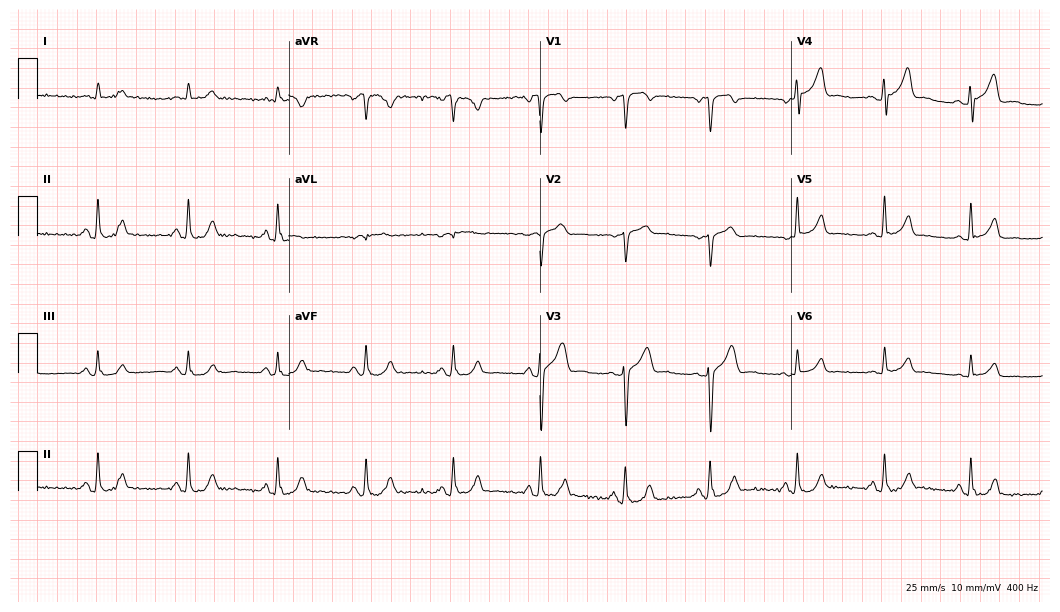
12-lead ECG from a 53-year-old male patient (10.2-second recording at 400 Hz). No first-degree AV block, right bundle branch block, left bundle branch block, sinus bradycardia, atrial fibrillation or sinus tachycardia recorded for this tracing.